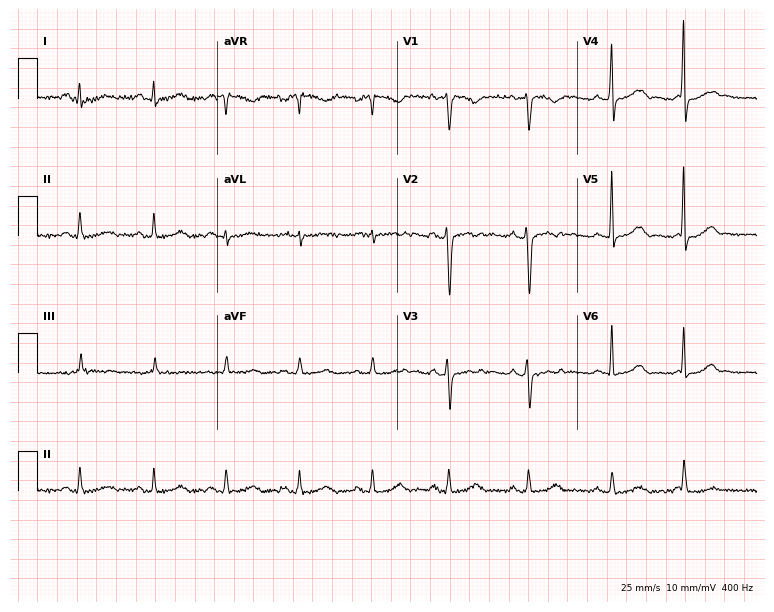
Electrocardiogram, a female, 36 years old. Overall reading on record: normal ECG.